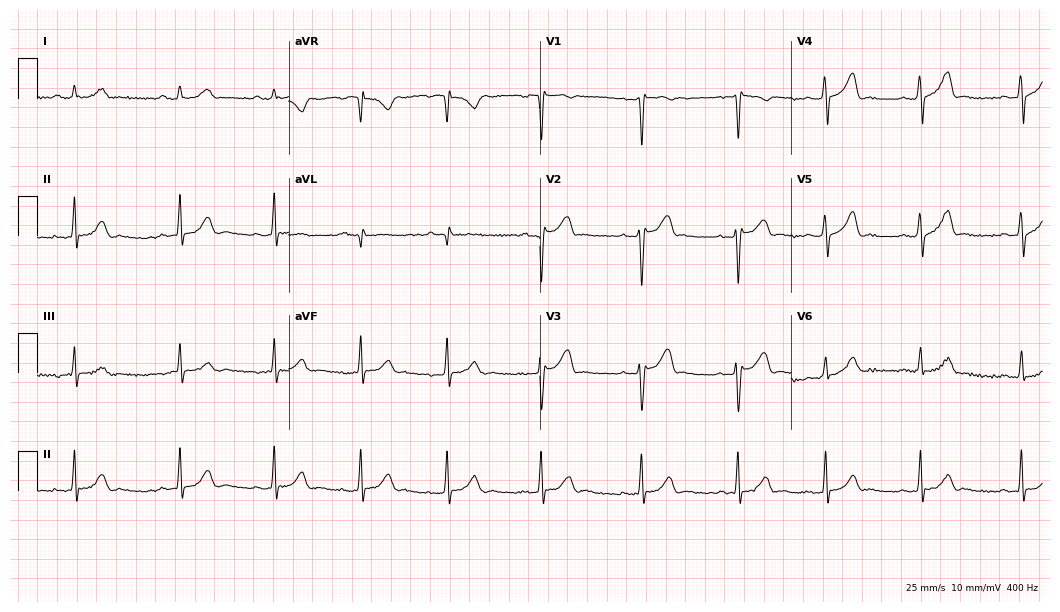
12-lead ECG (10.2-second recording at 400 Hz) from a 23-year-old male. Labelled as a normal ECG.